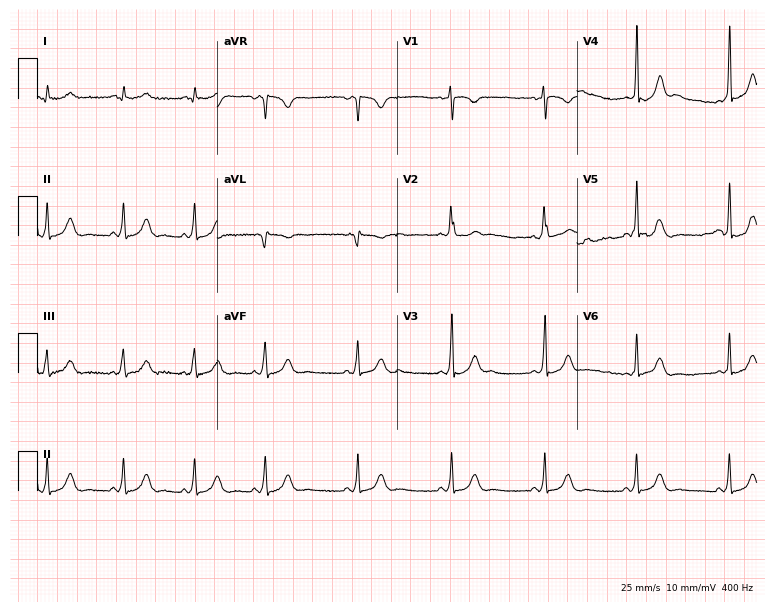
Standard 12-lead ECG recorded from a female, 17 years old (7.3-second recording at 400 Hz). None of these six findings is recorded: first-degree AV block, right bundle branch block, left bundle branch block, sinus bradycardia, atrial fibrillation, sinus tachycardia. Only these six findings were labelled.